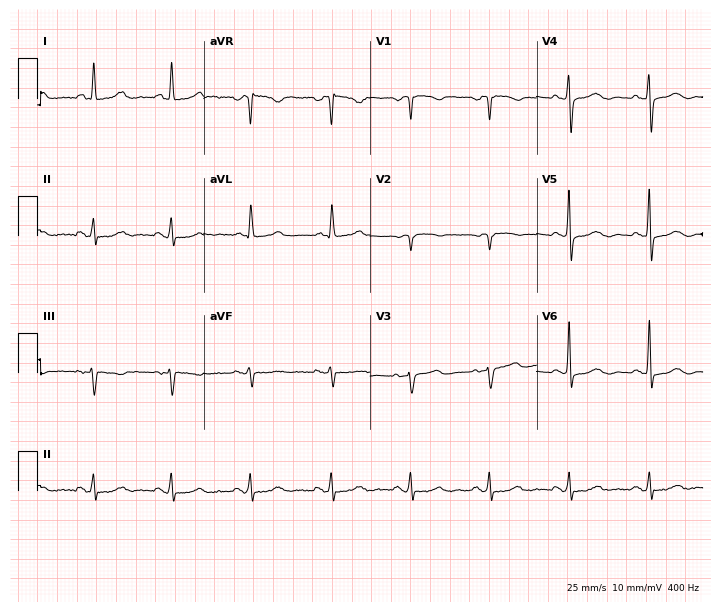
ECG (6.8-second recording at 400 Hz) — a 64-year-old female. Screened for six findings — first-degree AV block, right bundle branch block (RBBB), left bundle branch block (LBBB), sinus bradycardia, atrial fibrillation (AF), sinus tachycardia — none is recorded.